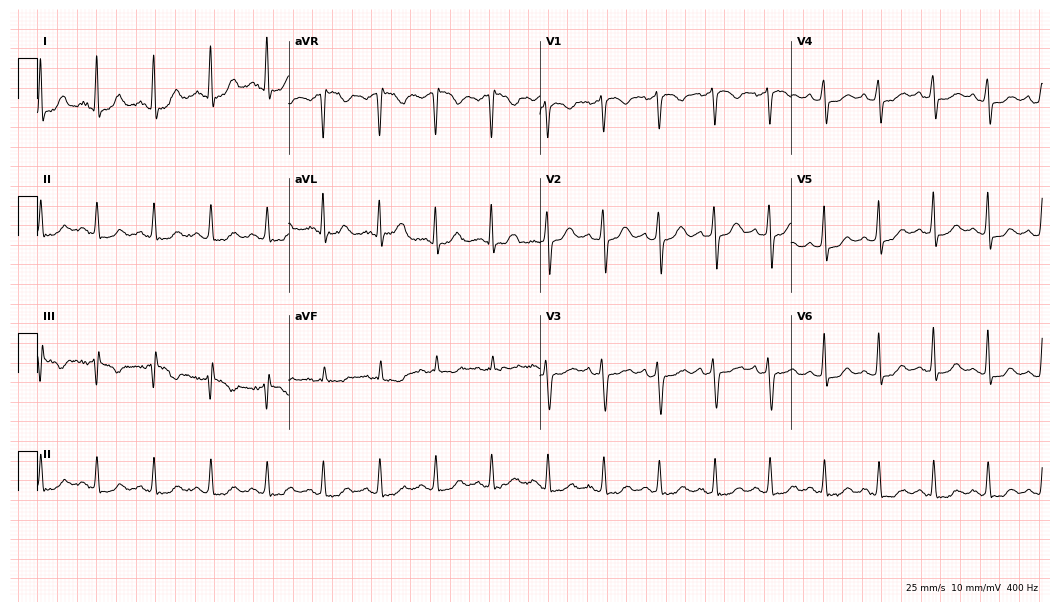
ECG — a female patient, 38 years old. Findings include sinus tachycardia (a sinus rate of 100 beats per minute or more).